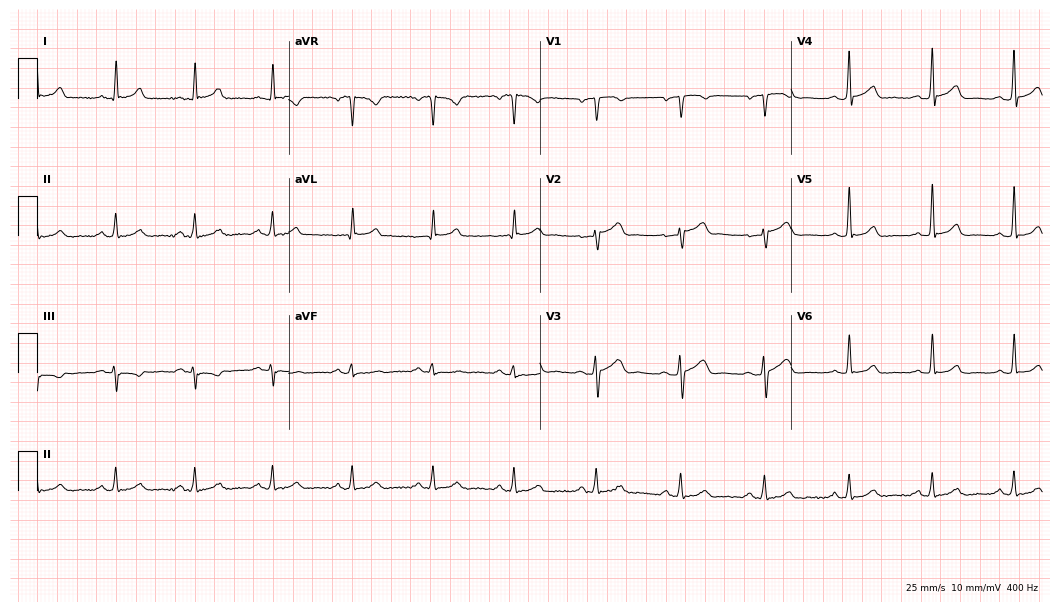
Standard 12-lead ECG recorded from a 49-year-old male. Read as a normal ECG.